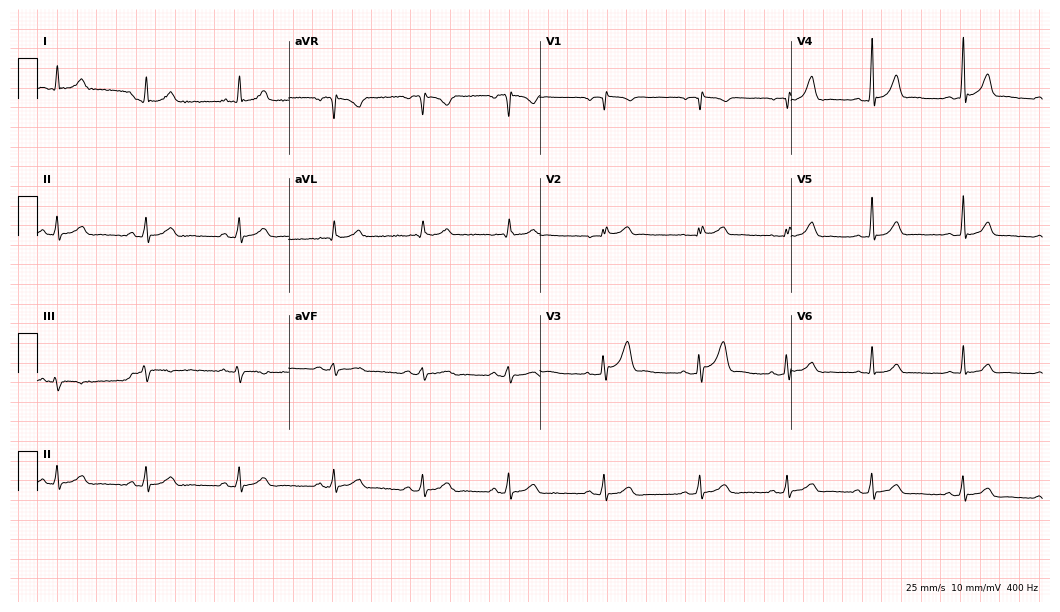
12-lead ECG (10.2-second recording at 400 Hz) from a male, 39 years old. Screened for six findings — first-degree AV block, right bundle branch block, left bundle branch block, sinus bradycardia, atrial fibrillation, sinus tachycardia — none is recorded. Only these six findings were labelled.